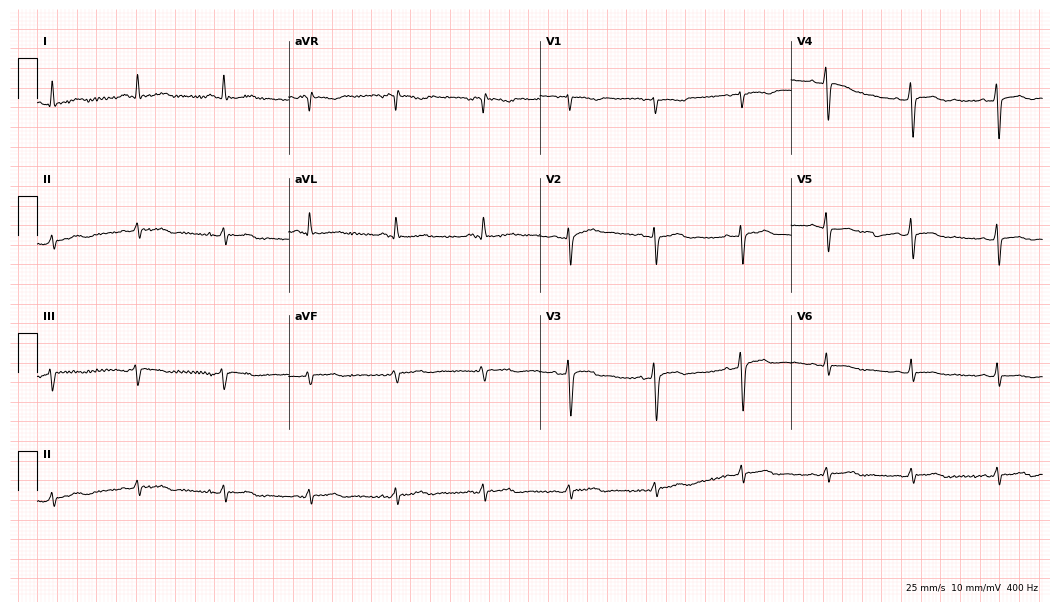
ECG (10.2-second recording at 400 Hz) — a 52-year-old man. Screened for six findings — first-degree AV block, right bundle branch block, left bundle branch block, sinus bradycardia, atrial fibrillation, sinus tachycardia — none is recorded. Findings outside these six are not listed.